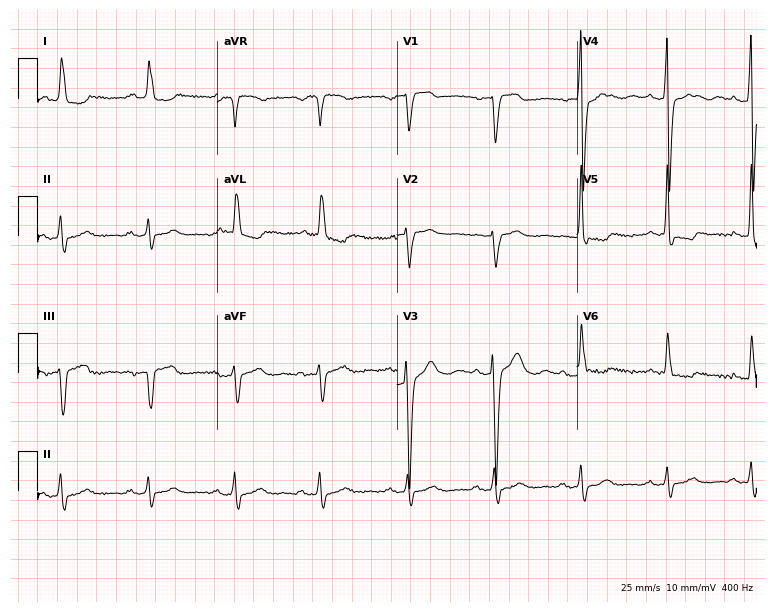
12-lead ECG (7.3-second recording at 400 Hz) from a 74-year-old female. Screened for six findings — first-degree AV block, right bundle branch block, left bundle branch block, sinus bradycardia, atrial fibrillation, sinus tachycardia — none is recorded. Findings outside these six are not listed.